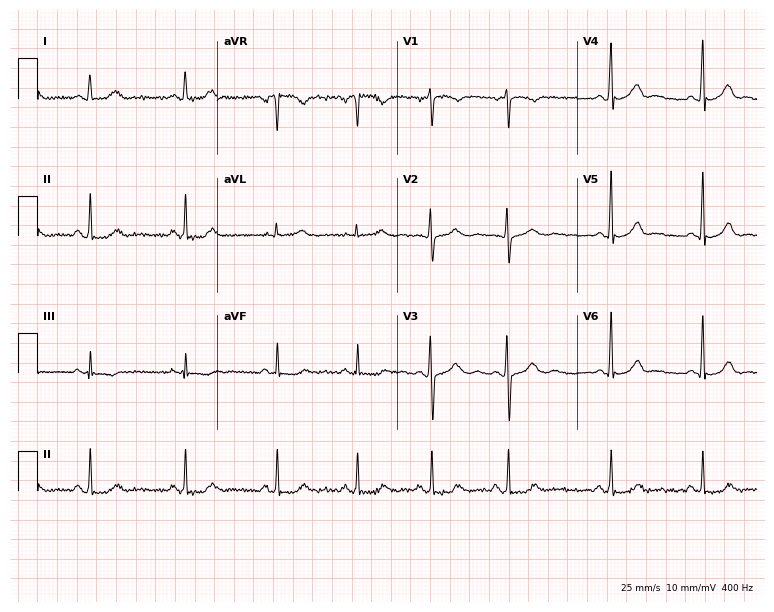
Resting 12-lead electrocardiogram. Patient: a 19-year-old female. Read as a normal ECG.